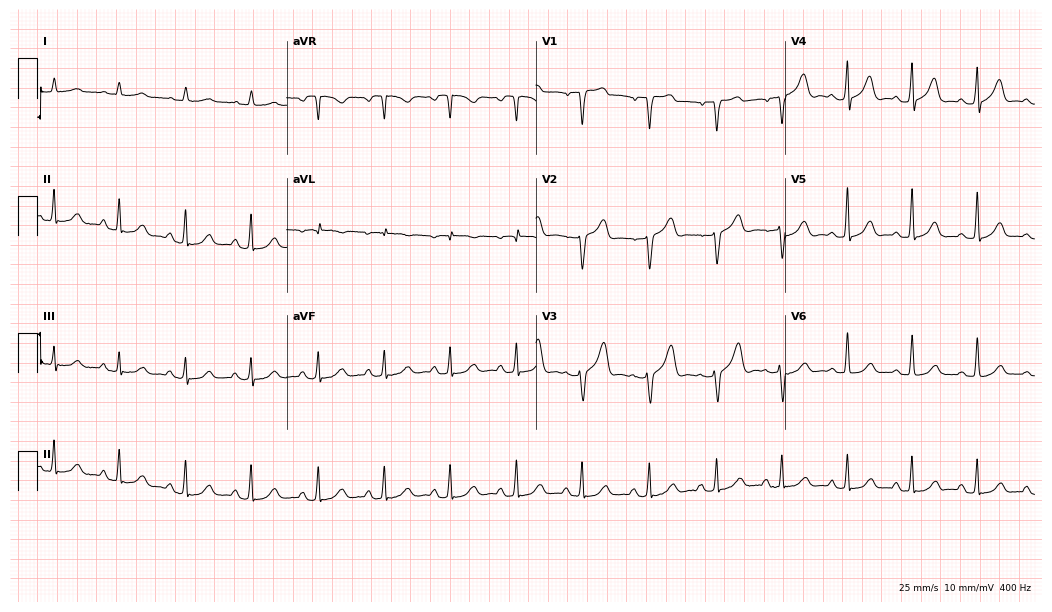
12-lead ECG (10.2-second recording at 400 Hz) from a 78-year-old female. Screened for six findings — first-degree AV block, right bundle branch block, left bundle branch block, sinus bradycardia, atrial fibrillation, sinus tachycardia — none is recorded.